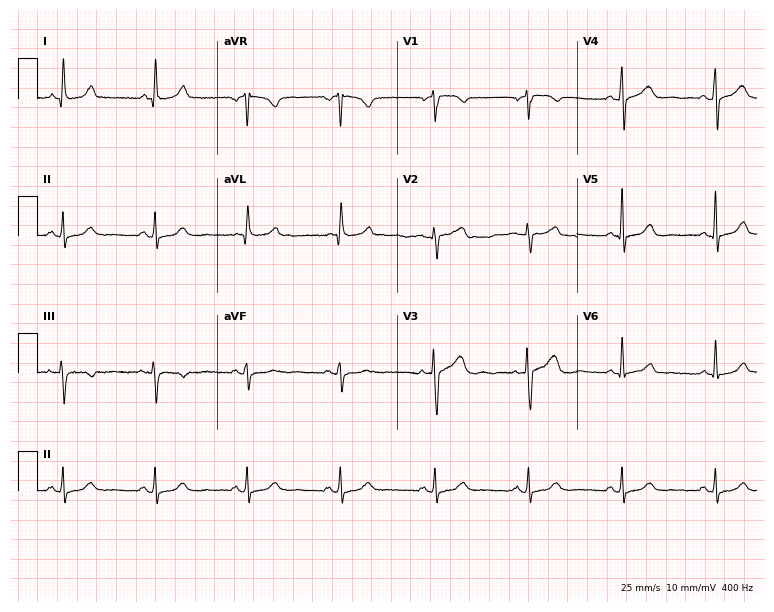
Standard 12-lead ECG recorded from a 55-year-old female patient. None of these six findings is recorded: first-degree AV block, right bundle branch block, left bundle branch block, sinus bradycardia, atrial fibrillation, sinus tachycardia.